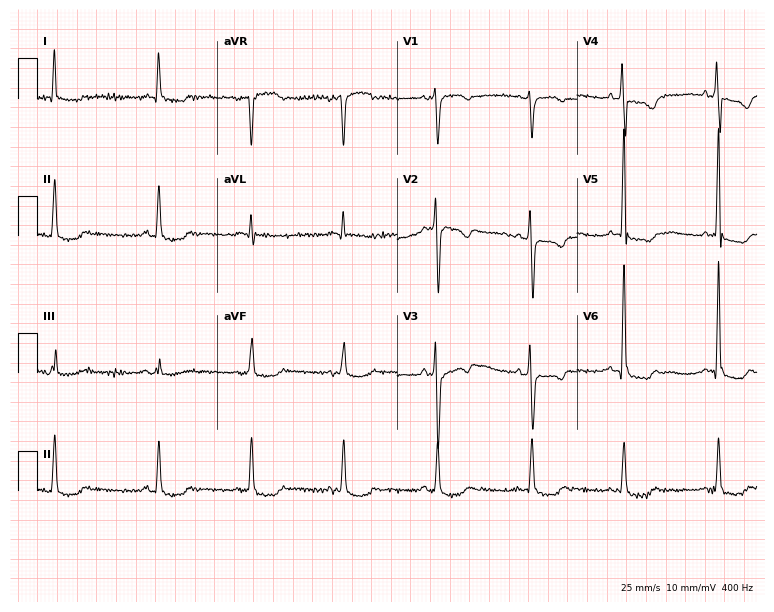
12-lead ECG from an 82-year-old female patient. No first-degree AV block, right bundle branch block (RBBB), left bundle branch block (LBBB), sinus bradycardia, atrial fibrillation (AF) or sinus tachycardia recorded for this tracing.